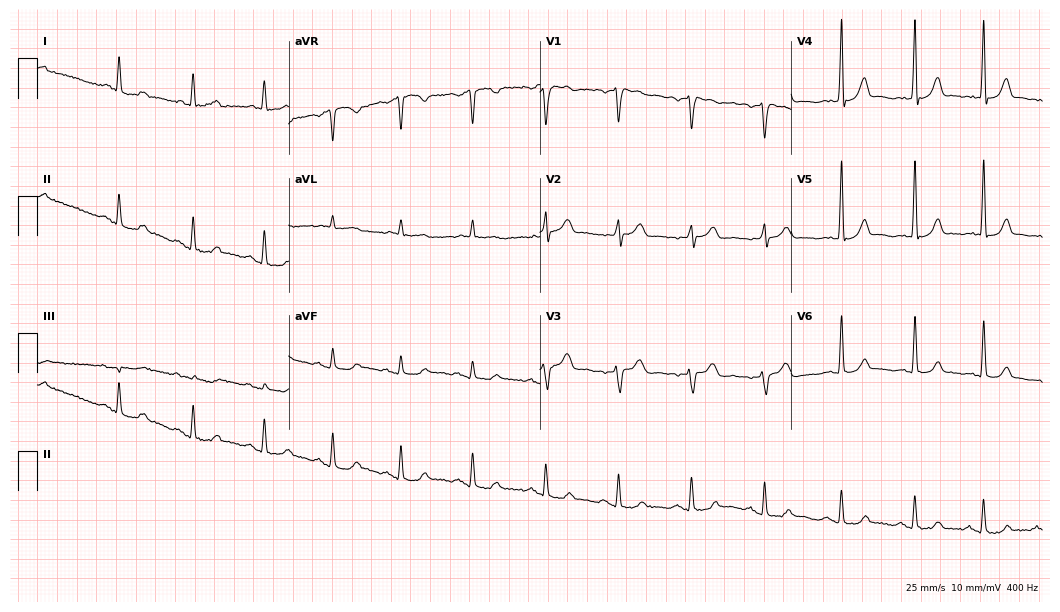
12-lead ECG from a 64-year-old male (10.2-second recording at 400 Hz). Recorded interpretation: within normal limits.